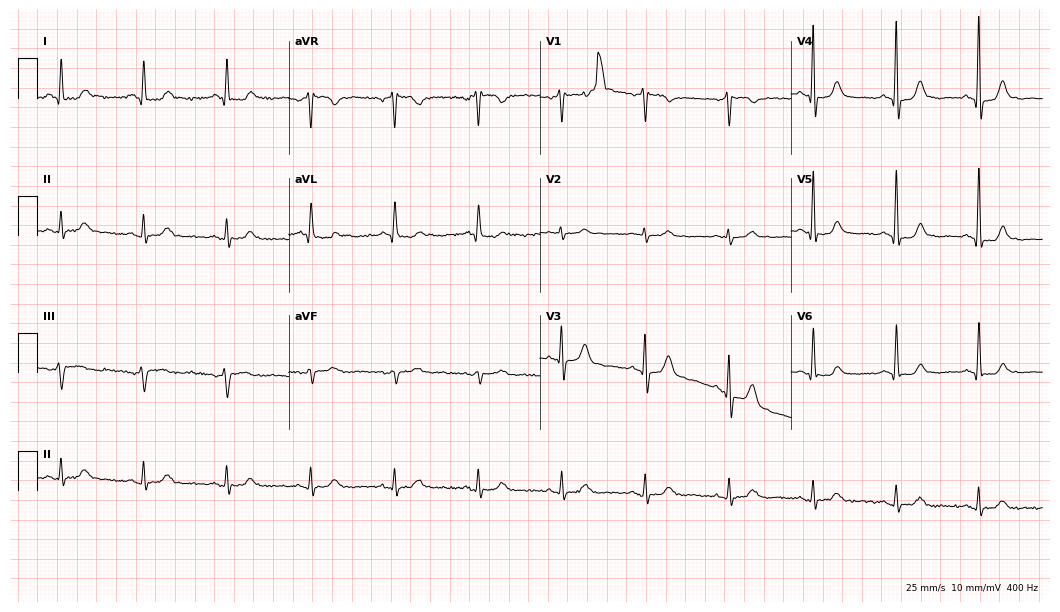
12-lead ECG (10.2-second recording at 400 Hz) from a 61-year-old male. Labelled as a normal ECG.